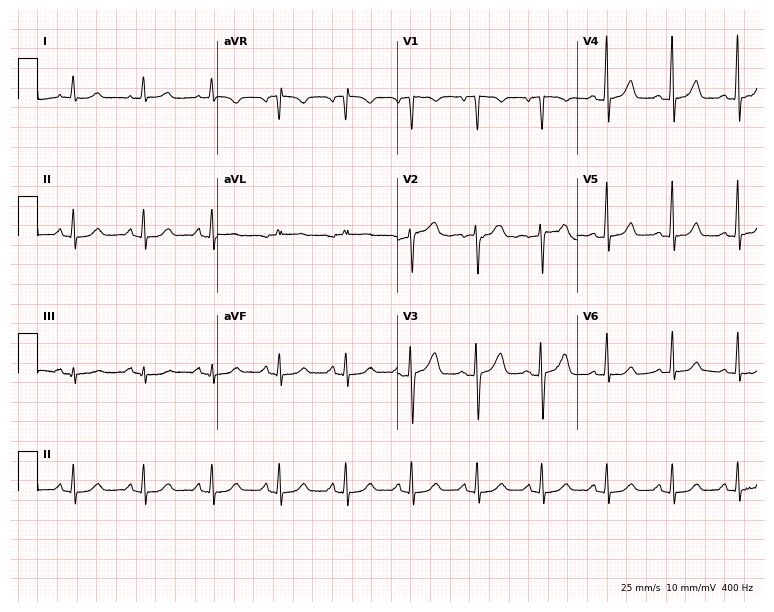
ECG — a 62-year-old female patient. Labelled as a normal ECG.